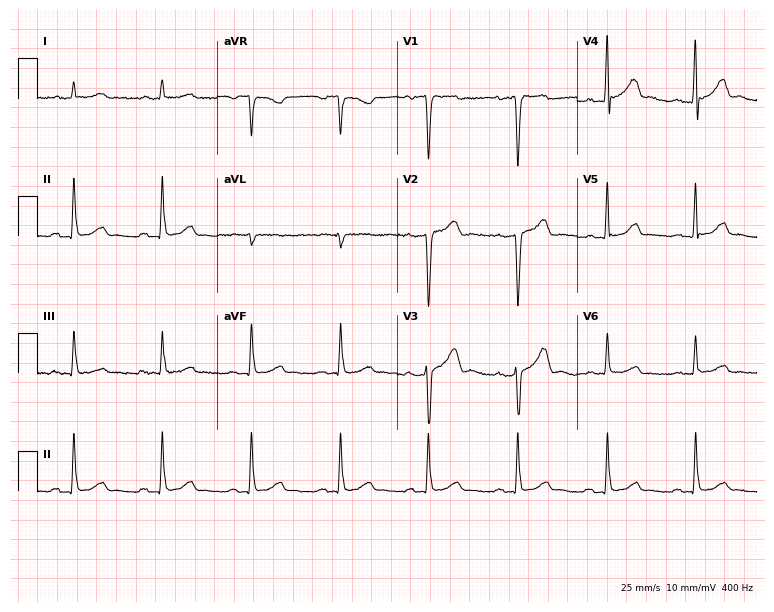
Electrocardiogram, a 61-year-old woman. Of the six screened findings (first-degree AV block, right bundle branch block (RBBB), left bundle branch block (LBBB), sinus bradycardia, atrial fibrillation (AF), sinus tachycardia), none is recorded. Other findings, if any, are not listed.